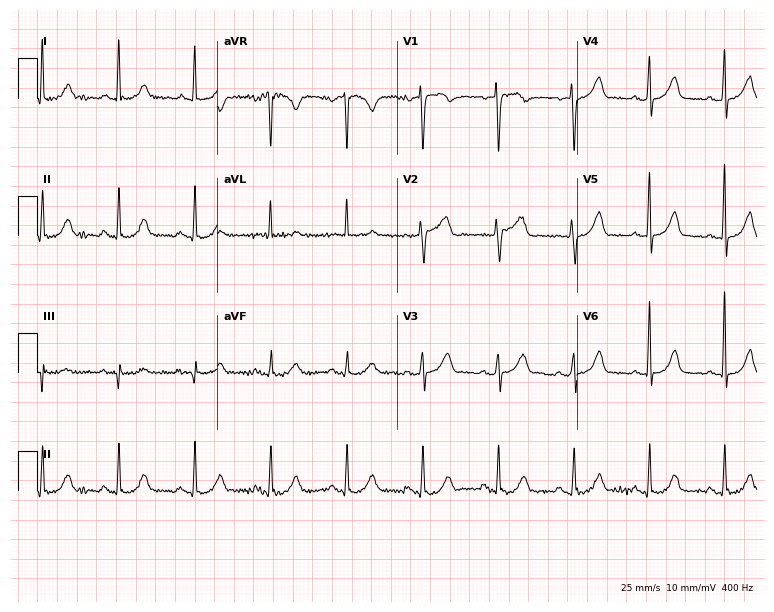
Standard 12-lead ECG recorded from a female, 61 years old. None of these six findings is recorded: first-degree AV block, right bundle branch block, left bundle branch block, sinus bradycardia, atrial fibrillation, sinus tachycardia.